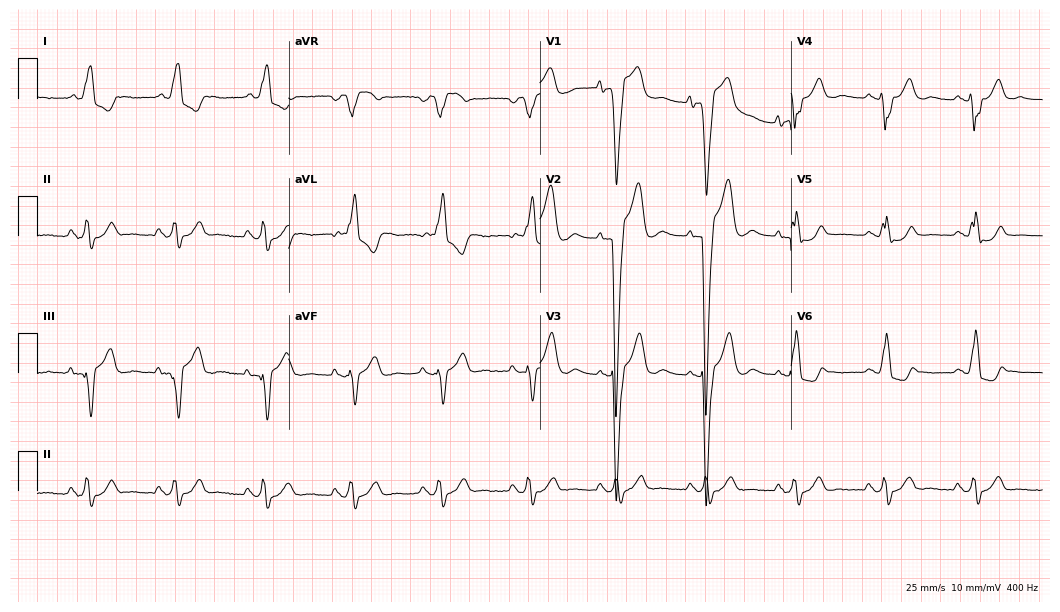
Resting 12-lead electrocardiogram (10.2-second recording at 400 Hz). Patient: a 75-year-old female. The tracing shows left bundle branch block.